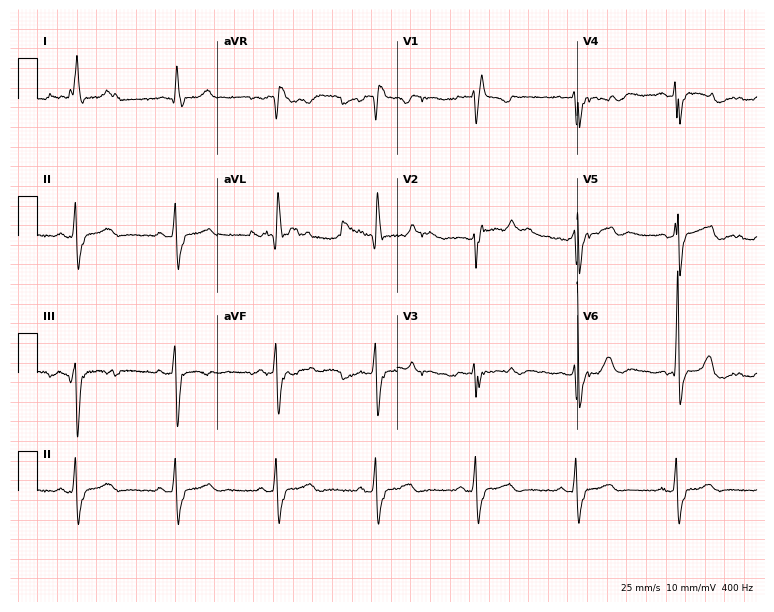
ECG (7.3-second recording at 400 Hz) — a woman, 52 years old. Findings include right bundle branch block.